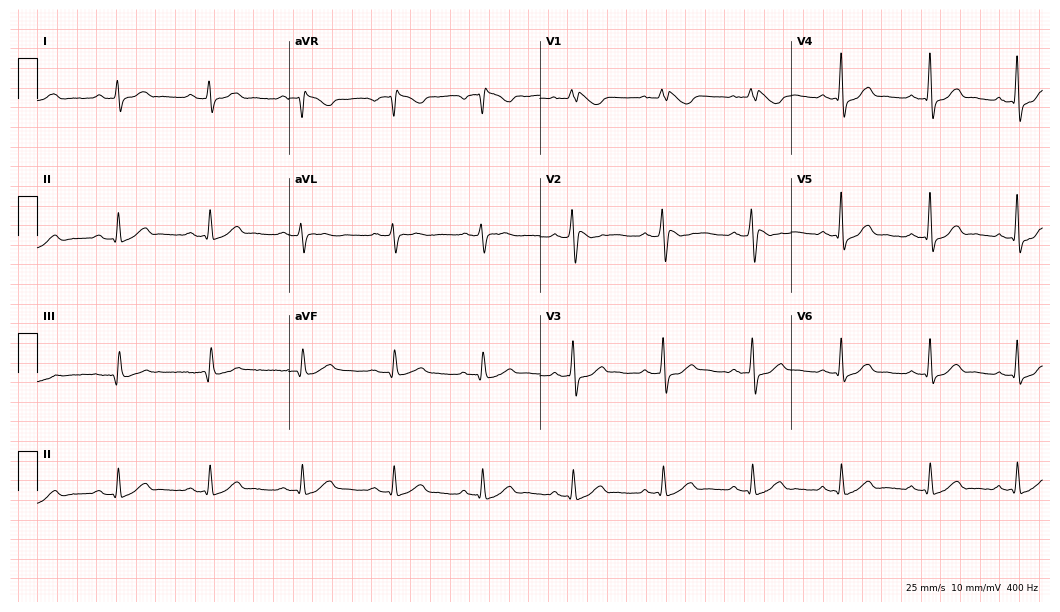
ECG — a 55-year-old female. Screened for six findings — first-degree AV block, right bundle branch block (RBBB), left bundle branch block (LBBB), sinus bradycardia, atrial fibrillation (AF), sinus tachycardia — none is recorded.